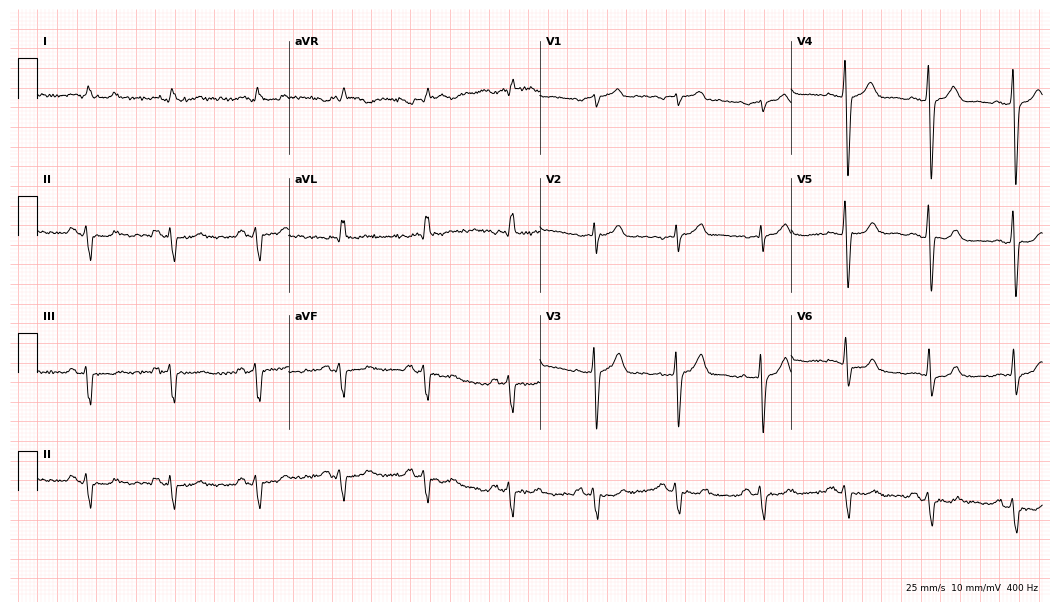
Electrocardiogram (10.2-second recording at 400 Hz), a male patient, 74 years old. Of the six screened findings (first-degree AV block, right bundle branch block, left bundle branch block, sinus bradycardia, atrial fibrillation, sinus tachycardia), none is recorded. Findings outside these six are not listed.